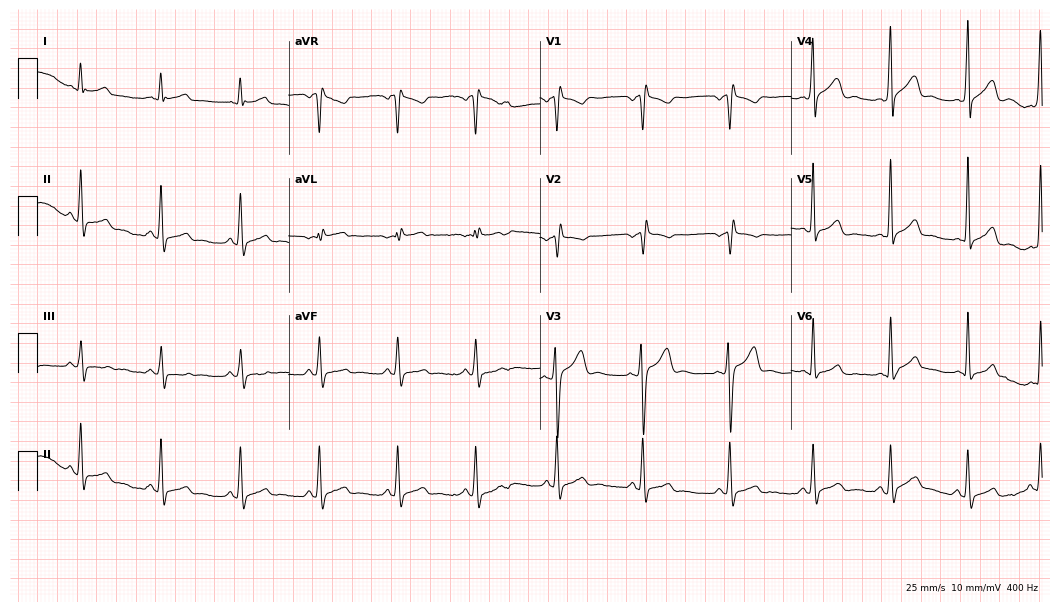
12-lead ECG (10.2-second recording at 400 Hz) from a 24-year-old man. Screened for six findings — first-degree AV block, right bundle branch block, left bundle branch block, sinus bradycardia, atrial fibrillation, sinus tachycardia — none is recorded.